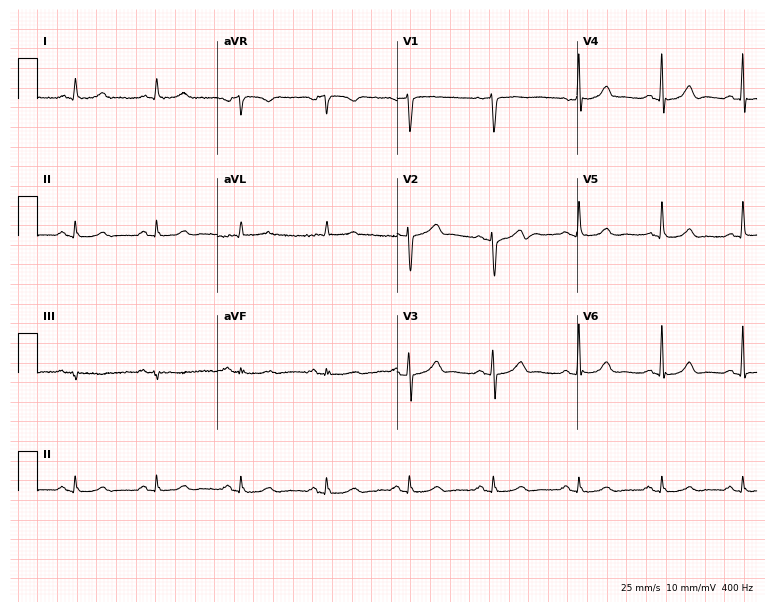
Electrocardiogram, a 77-year-old man. Of the six screened findings (first-degree AV block, right bundle branch block (RBBB), left bundle branch block (LBBB), sinus bradycardia, atrial fibrillation (AF), sinus tachycardia), none is recorded.